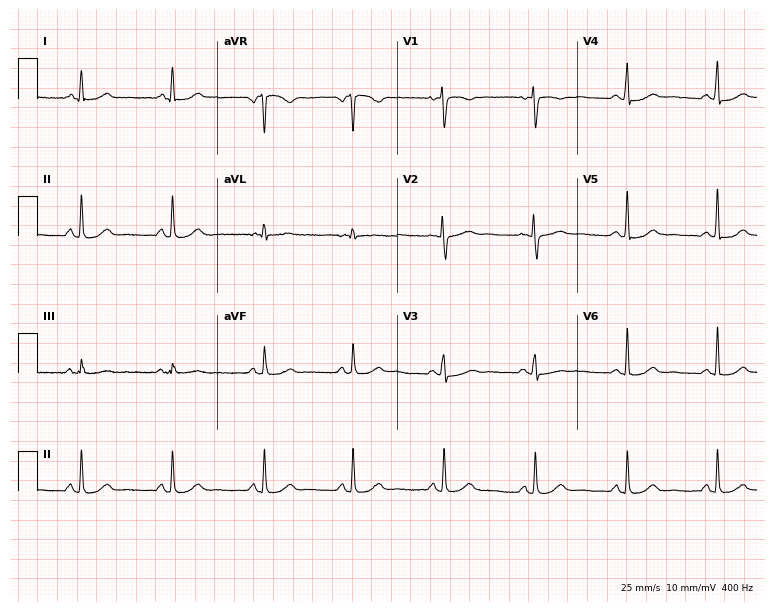
Resting 12-lead electrocardiogram (7.3-second recording at 400 Hz). Patient: a 41-year-old female. None of these six findings is recorded: first-degree AV block, right bundle branch block, left bundle branch block, sinus bradycardia, atrial fibrillation, sinus tachycardia.